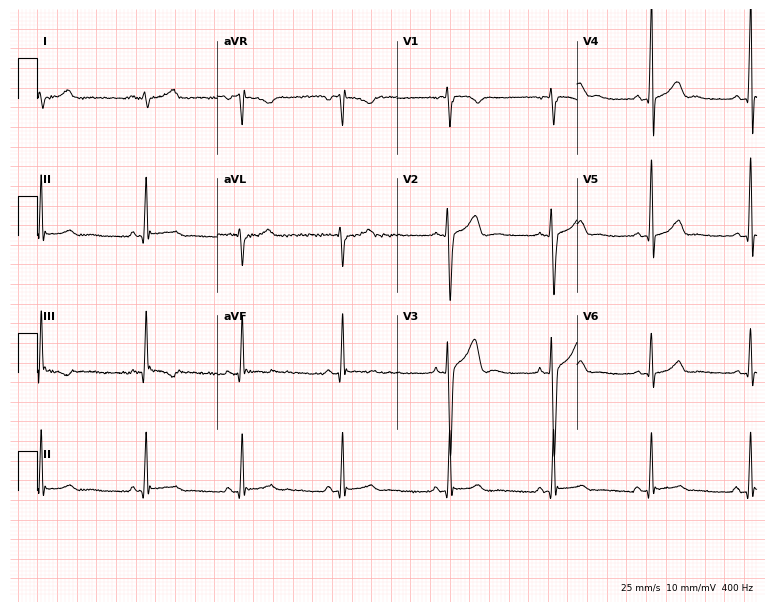
Resting 12-lead electrocardiogram. Patient: a 20-year-old male. None of these six findings is recorded: first-degree AV block, right bundle branch block, left bundle branch block, sinus bradycardia, atrial fibrillation, sinus tachycardia.